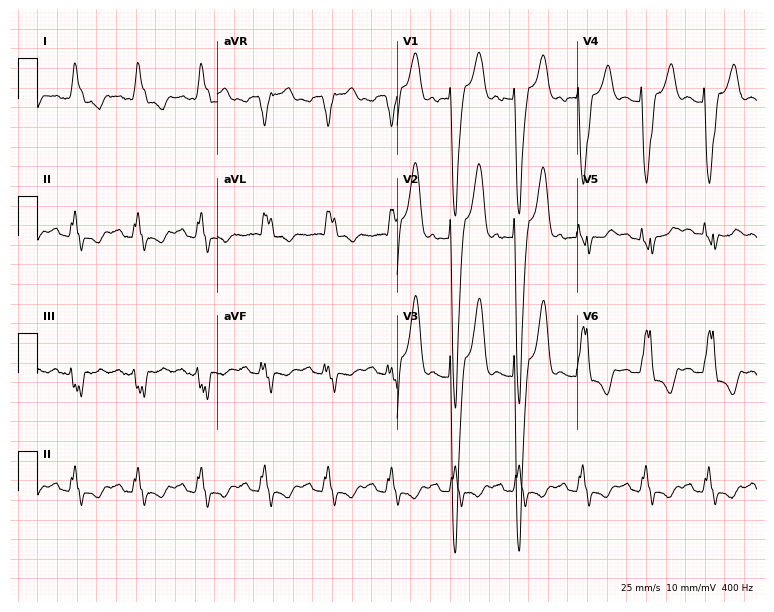
12-lead ECG from a woman, 76 years old. Shows left bundle branch block.